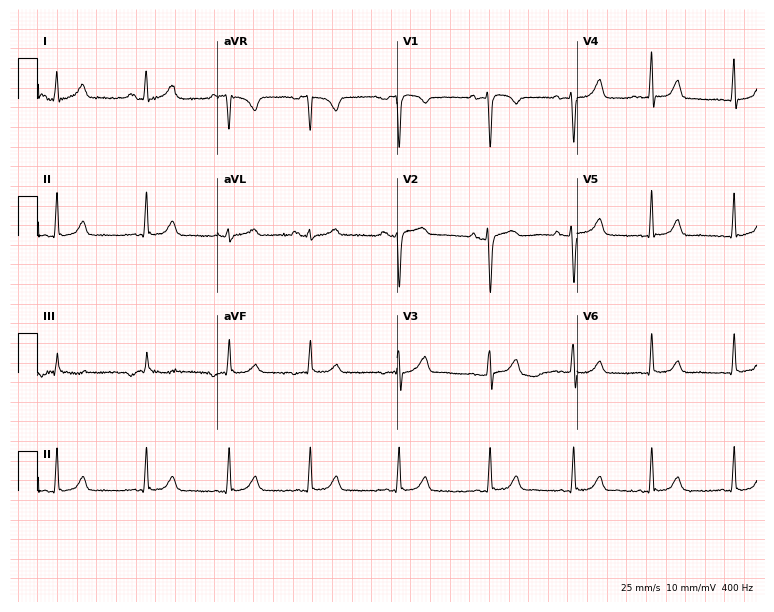
Standard 12-lead ECG recorded from a female patient, 31 years old (7.3-second recording at 400 Hz). None of these six findings is recorded: first-degree AV block, right bundle branch block (RBBB), left bundle branch block (LBBB), sinus bradycardia, atrial fibrillation (AF), sinus tachycardia. Other findings, if any, are not listed.